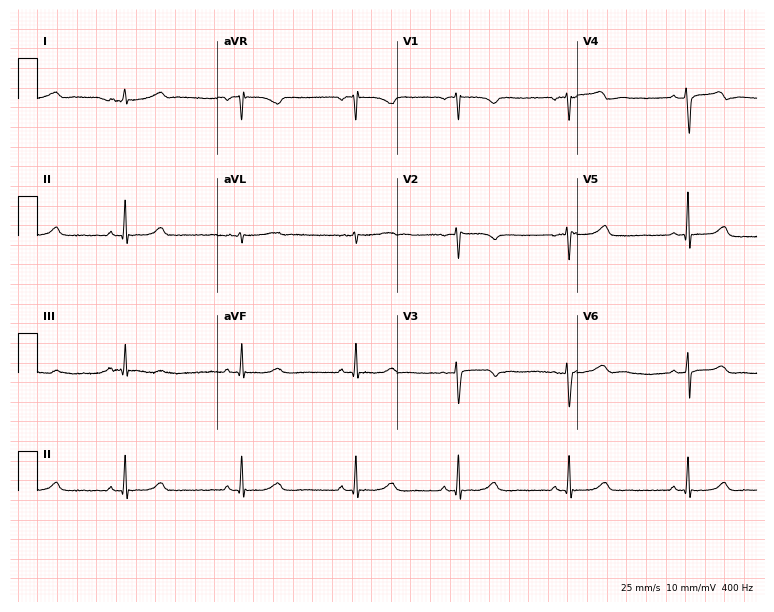
Resting 12-lead electrocardiogram. Patient: a female, 39 years old. None of these six findings is recorded: first-degree AV block, right bundle branch block, left bundle branch block, sinus bradycardia, atrial fibrillation, sinus tachycardia. Only these six findings were labelled.